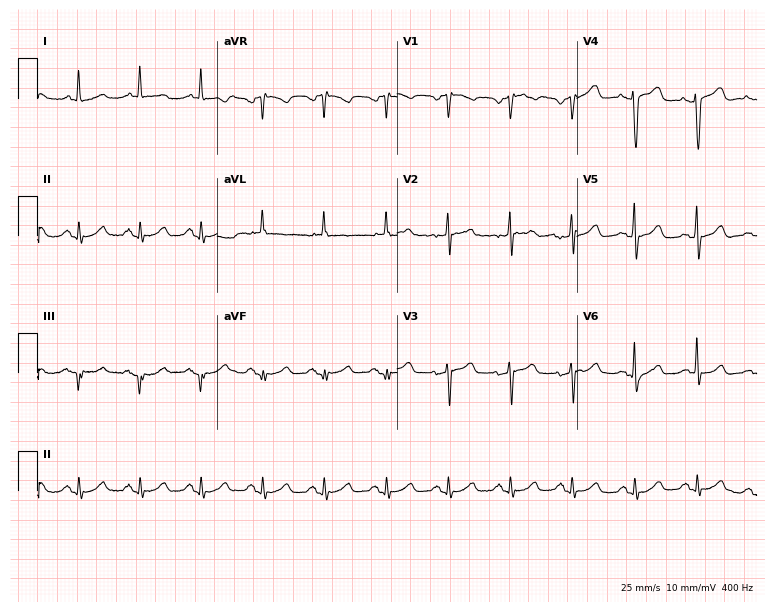
Electrocardiogram (7.3-second recording at 400 Hz), a female, 80 years old. Of the six screened findings (first-degree AV block, right bundle branch block, left bundle branch block, sinus bradycardia, atrial fibrillation, sinus tachycardia), none is recorded. Other findings, if any, are not listed.